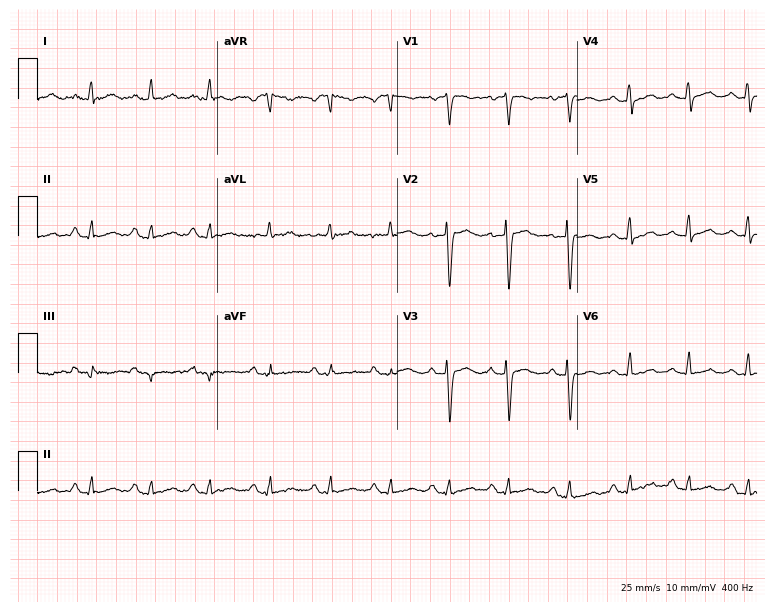
12-lead ECG from a 55-year-old female. Screened for six findings — first-degree AV block, right bundle branch block, left bundle branch block, sinus bradycardia, atrial fibrillation, sinus tachycardia — none is recorded. Findings outside these six are not listed.